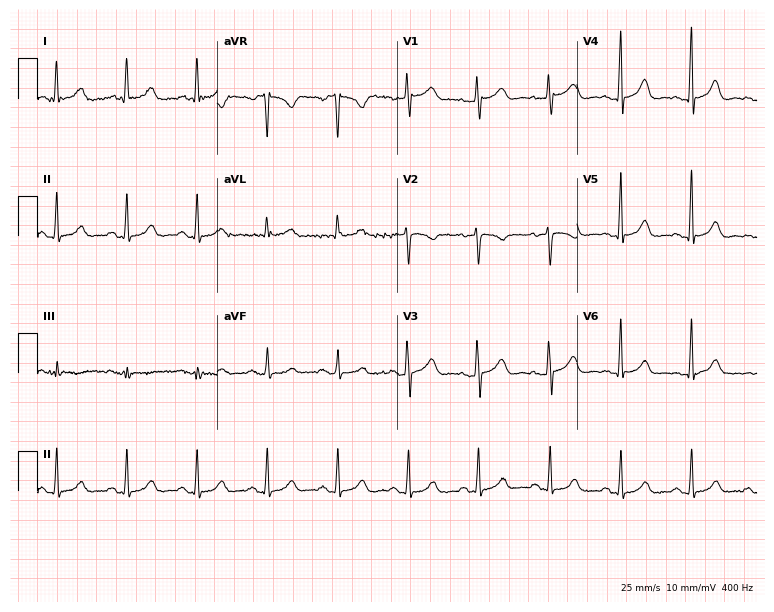
12-lead ECG from a 62-year-old woman. Recorded interpretation: within normal limits.